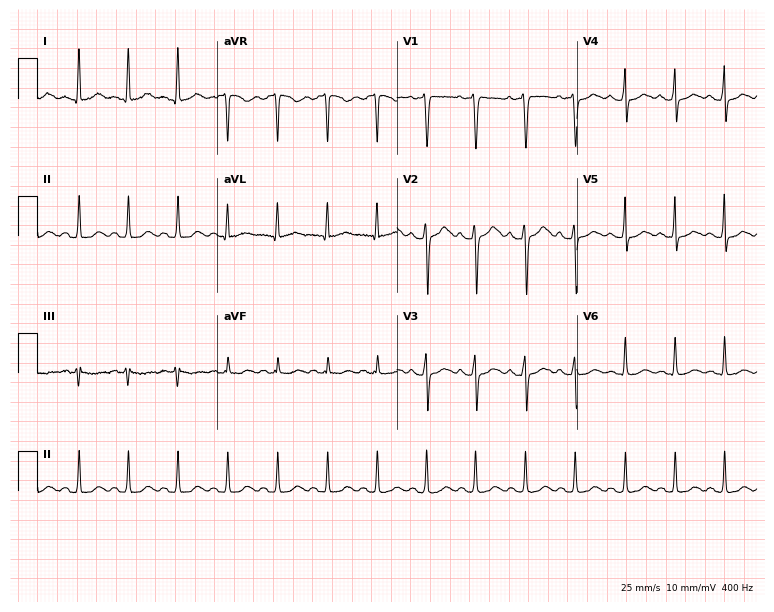
ECG — a female patient, 22 years old. Screened for six findings — first-degree AV block, right bundle branch block, left bundle branch block, sinus bradycardia, atrial fibrillation, sinus tachycardia — none is recorded. Findings outside these six are not listed.